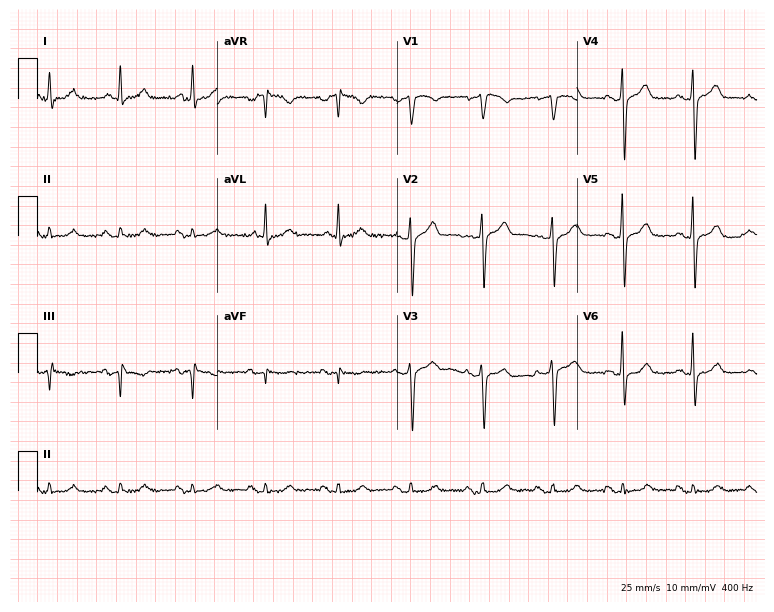
Resting 12-lead electrocardiogram. Patient: a man, 76 years old. Read as a normal ECG.